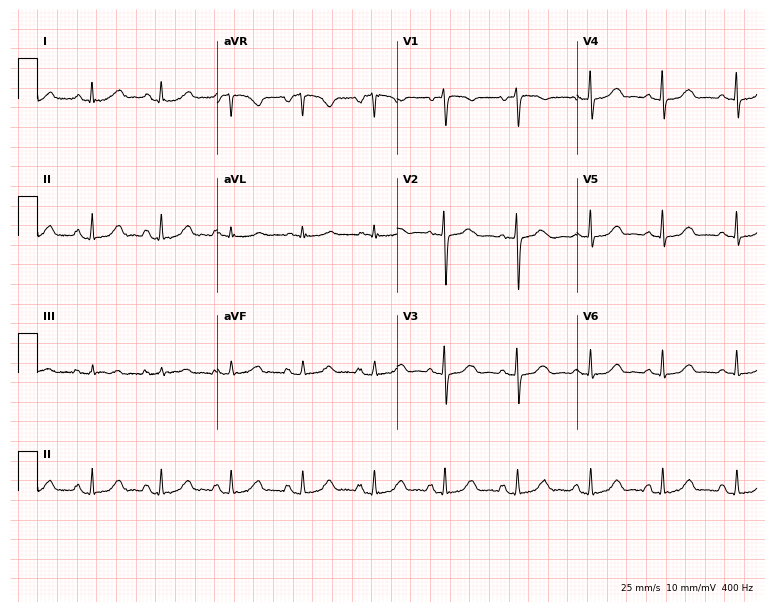
12-lead ECG from a 59-year-old female patient. Recorded interpretation: within normal limits.